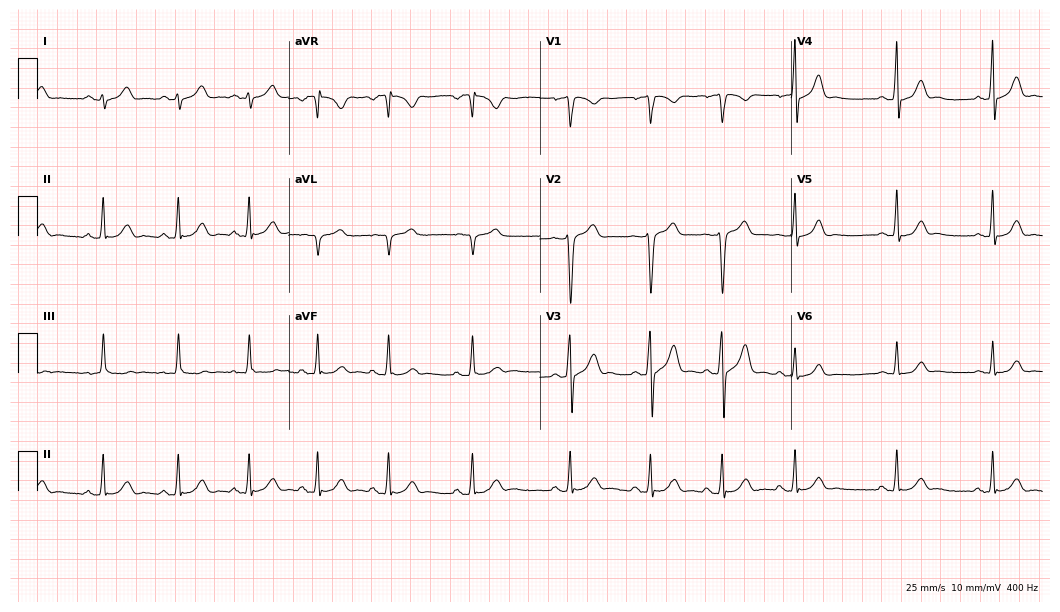
12-lead ECG (10.2-second recording at 400 Hz) from a man, 19 years old. Screened for six findings — first-degree AV block, right bundle branch block, left bundle branch block, sinus bradycardia, atrial fibrillation, sinus tachycardia — none is recorded. Only these six findings were labelled.